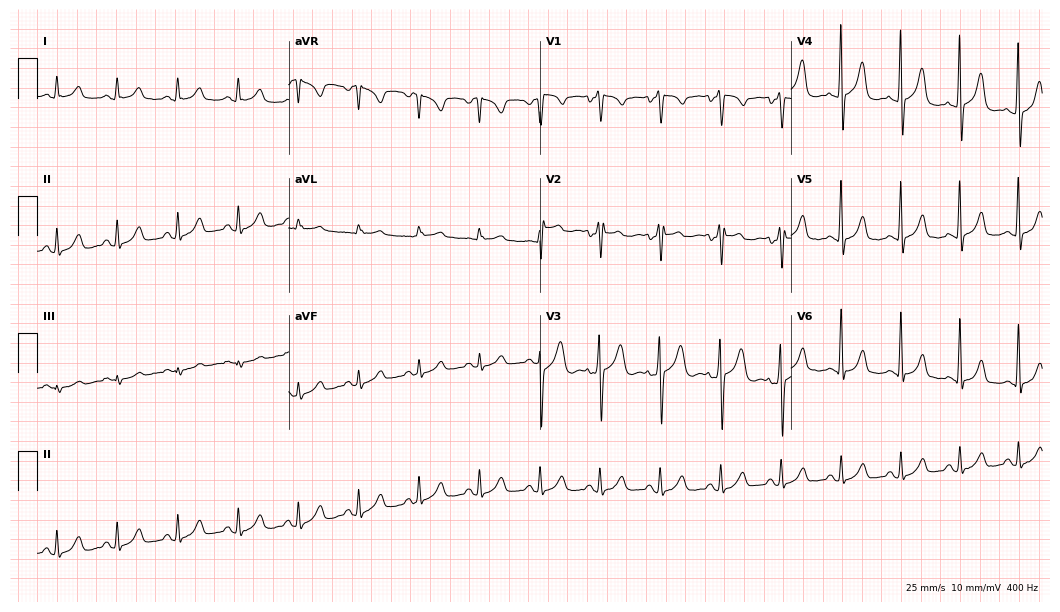
ECG (10.2-second recording at 400 Hz) — a 32-year-old male. Screened for six findings — first-degree AV block, right bundle branch block (RBBB), left bundle branch block (LBBB), sinus bradycardia, atrial fibrillation (AF), sinus tachycardia — none is recorded. Other findings, if any, are not listed.